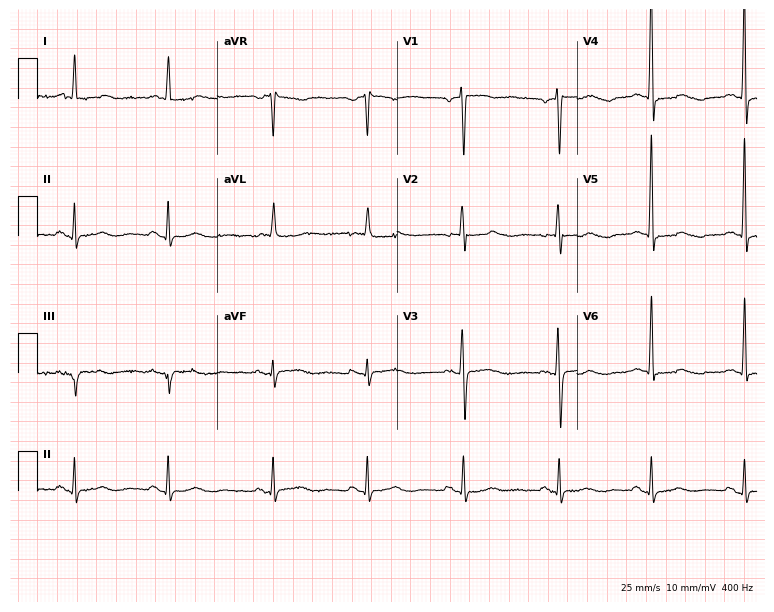
ECG — a 78-year-old female patient. Screened for six findings — first-degree AV block, right bundle branch block, left bundle branch block, sinus bradycardia, atrial fibrillation, sinus tachycardia — none is recorded.